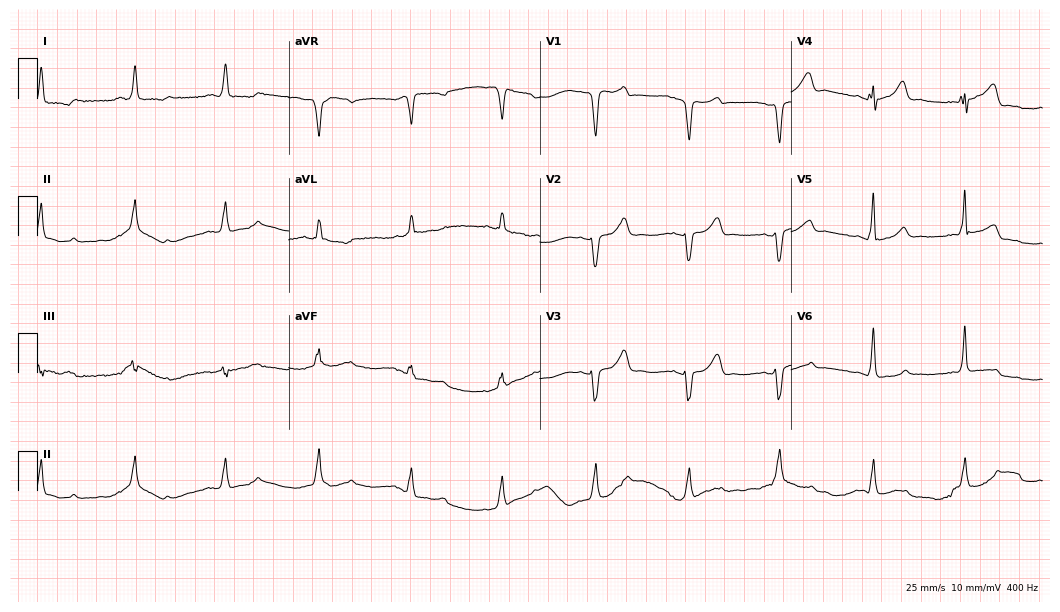
Standard 12-lead ECG recorded from a woman, 69 years old (10.2-second recording at 400 Hz). None of these six findings is recorded: first-degree AV block, right bundle branch block, left bundle branch block, sinus bradycardia, atrial fibrillation, sinus tachycardia.